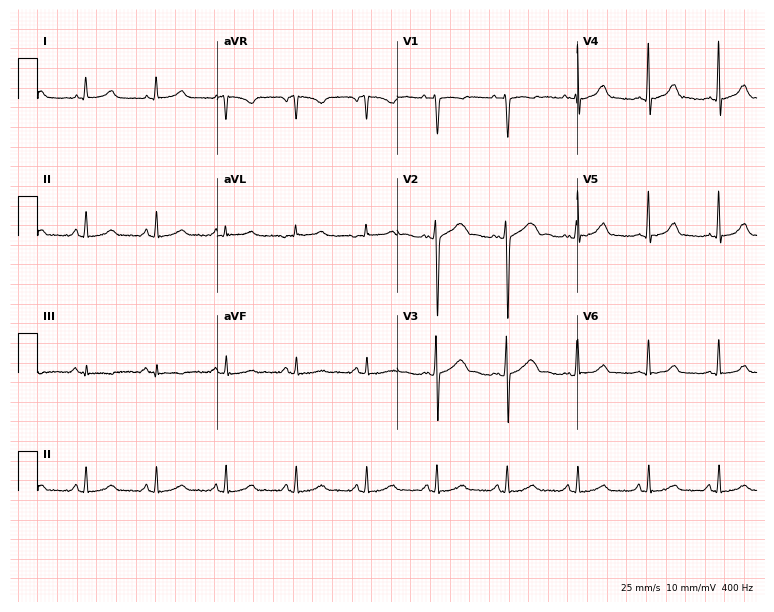
Resting 12-lead electrocardiogram (7.3-second recording at 400 Hz). Patient: a woman, 34 years old. None of these six findings is recorded: first-degree AV block, right bundle branch block, left bundle branch block, sinus bradycardia, atrial fibrillation, sinus tachycardia. Only these six findings were labelled.